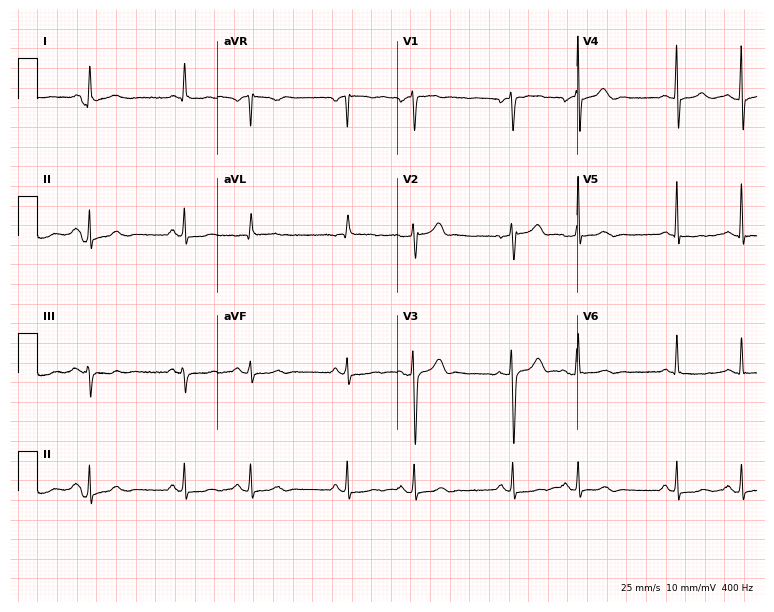
12-lead ECG (7.3-second recording at 400 Hz) from a man, 74 years old. Screened for six findings — first-degree AV block, right bundle branch block, left bundle branch block, sinus bradycardia, atrial fibrillation, sinus tachycardia — none is recorded. Findings outside these six are not listed.